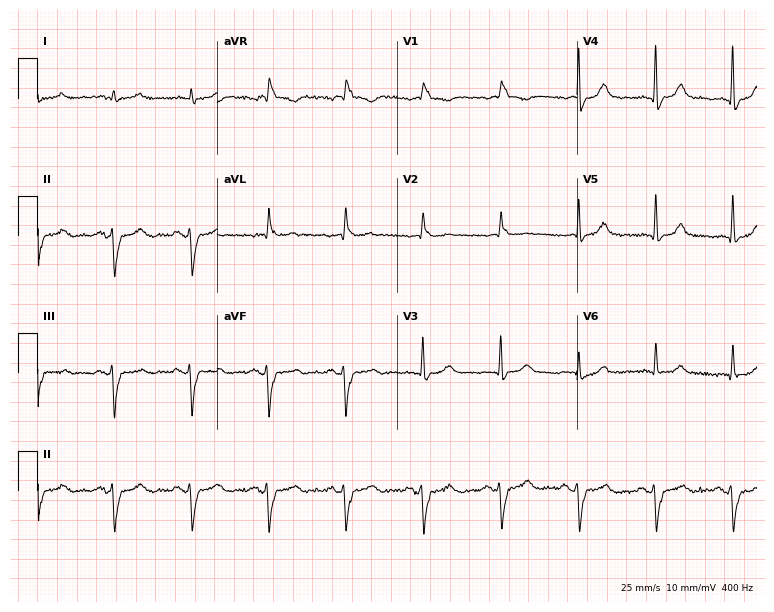
12-lead ECG (7.3-second recording at 400 Hz) from a 79-year-old man. Findings include right bundle branch block.